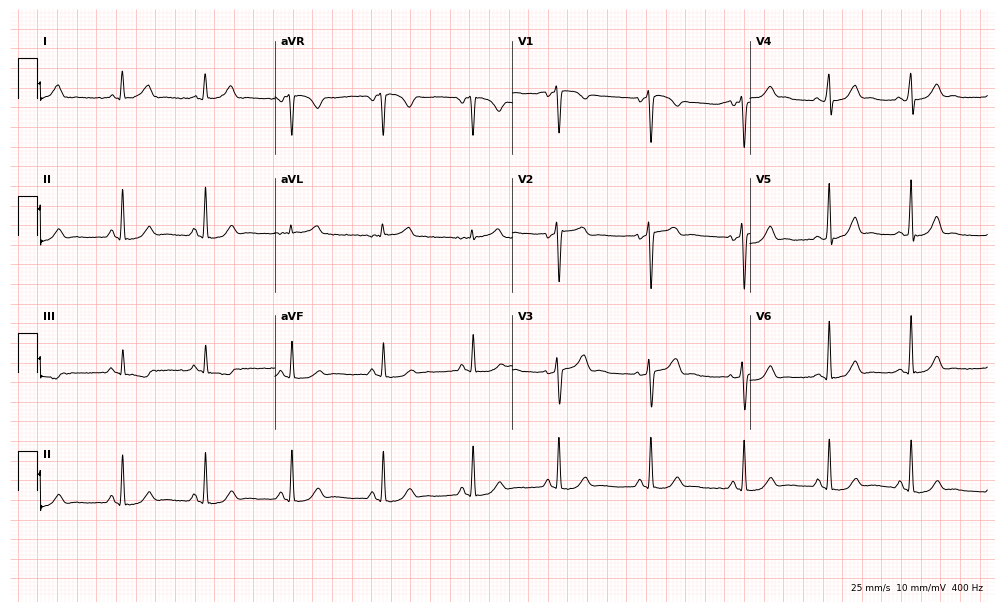
12-lead ECG from a 31-year-old female patient. Screened for six findings — first-degree AV block, right bundle branch block, left bundle branch block, sinus bradycardia, atrial fibrillation, sinus tachycardia — none is recorded.